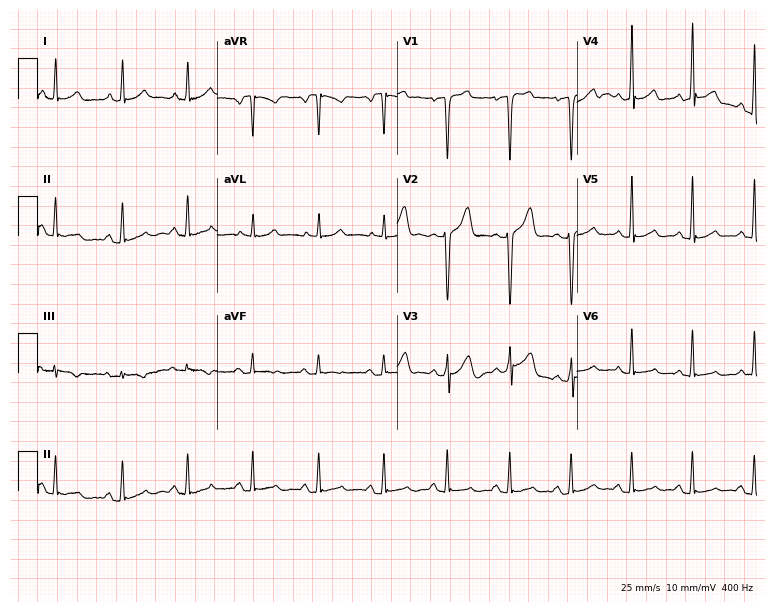
Standard 12-lead ECG recorded from a 40-year-old man. None of these six findings is recorded: first-degree AV block, right bundle branch block, left bundle branch block, sinus bradycardia, atrial fibrillation, sinus tachycardia. Other findings, if any, are not listed.